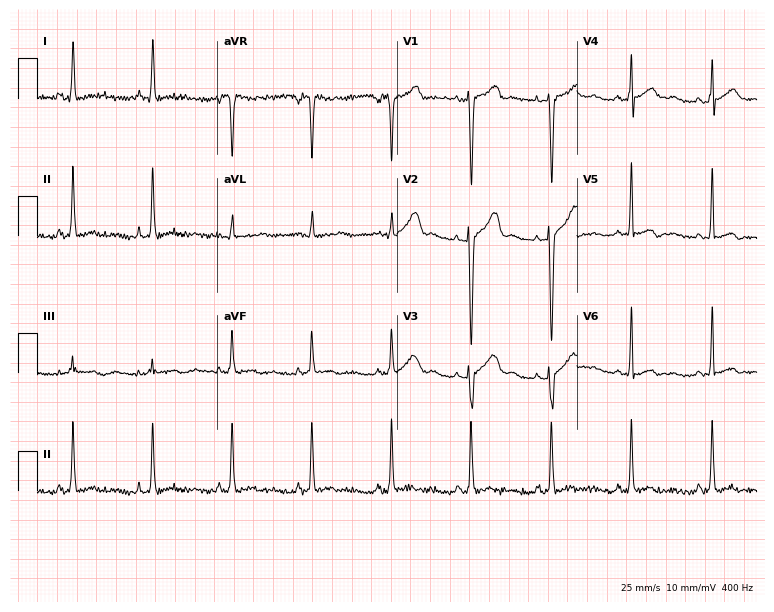
12-lead ECG (7.3-second recording at 400 Hz) from a female patient, 33 years old. Screened for six findings — first-degree AV block, right bundle branch block, left bundle branch block, sinus bradycardia, atrial fibrillation, sinus tachycardia — none is recorded.